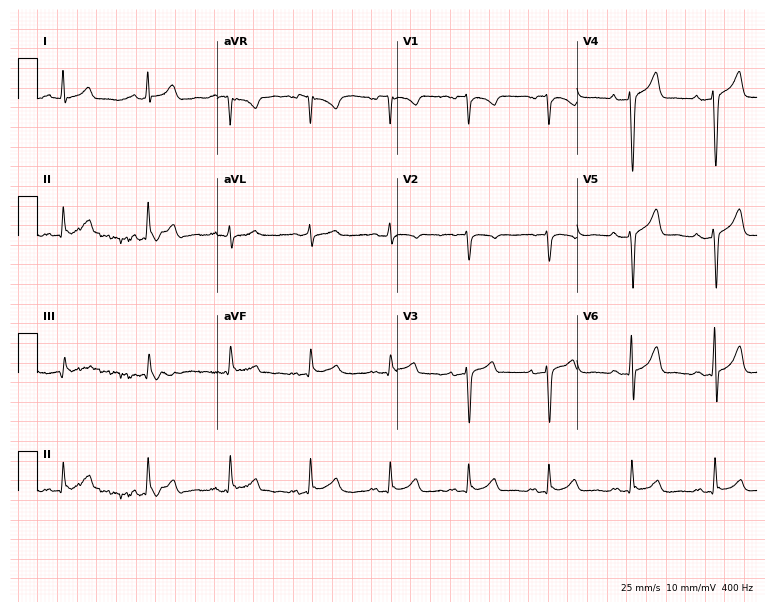
12-lead ECG (7.3-second recording at 400 Hz) from a 56-year-old man. Labelled as a normal ECG.